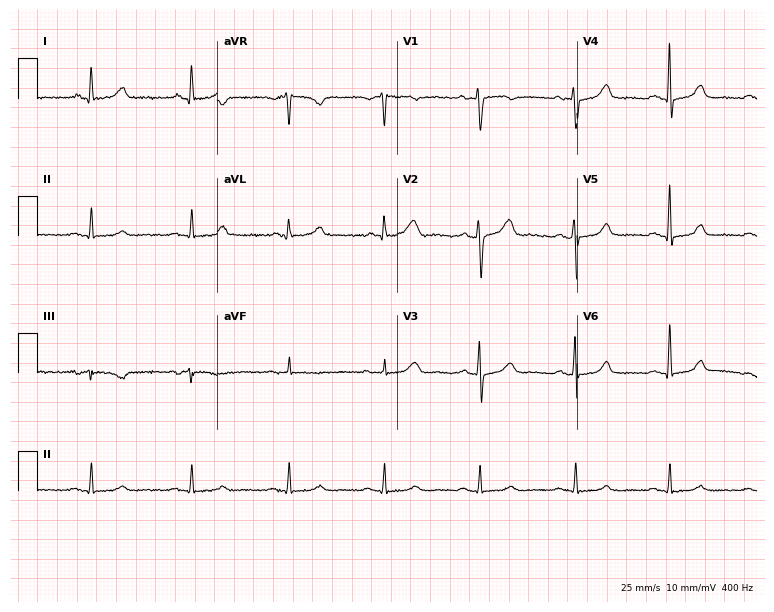
12-lead ECG (7.3-second recording at 400 Hz) from a female patient, 51 years old. Screened for six findings — first-degree AV block, right bundle branch block, left bundle branch block, sinus bradycardia, atrial fibrillation, sinus tachycardia — none is recorded. Findings outside these six are not listed.